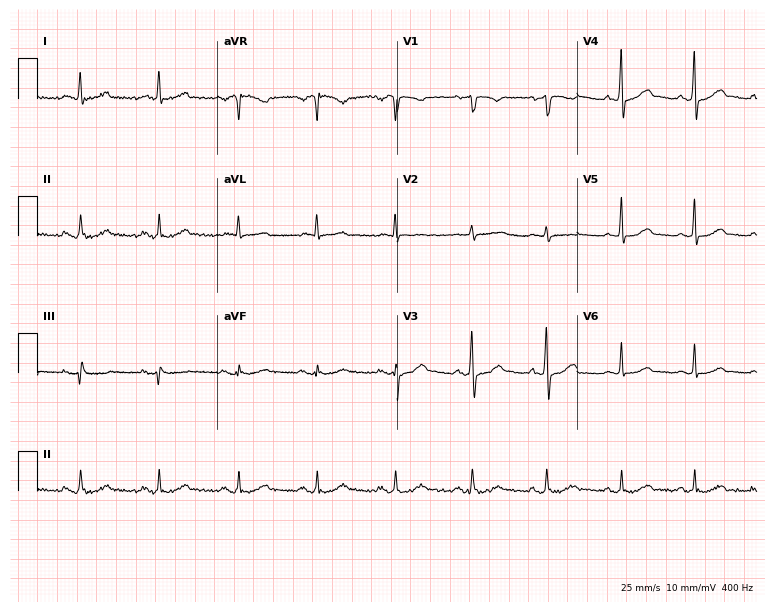
ECG (7.3-second recording at 400 Hz) — a 55-year-old man. Screened for six findings — first-degree AV block, right bundle branch block, left bundle branch block, sinus bradycardia, atrial fibrillation, sinus tachycardia — none is recorded.